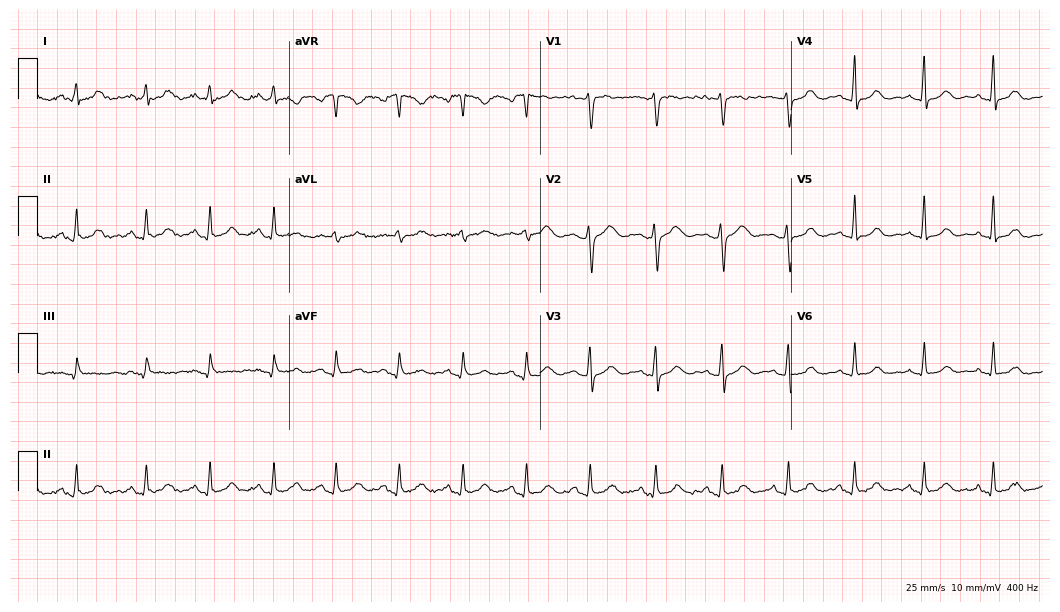
12-lead ECG (10.2-second recording at 400 Hz) from a 39-year-old female. Labelled as a normal ECG.